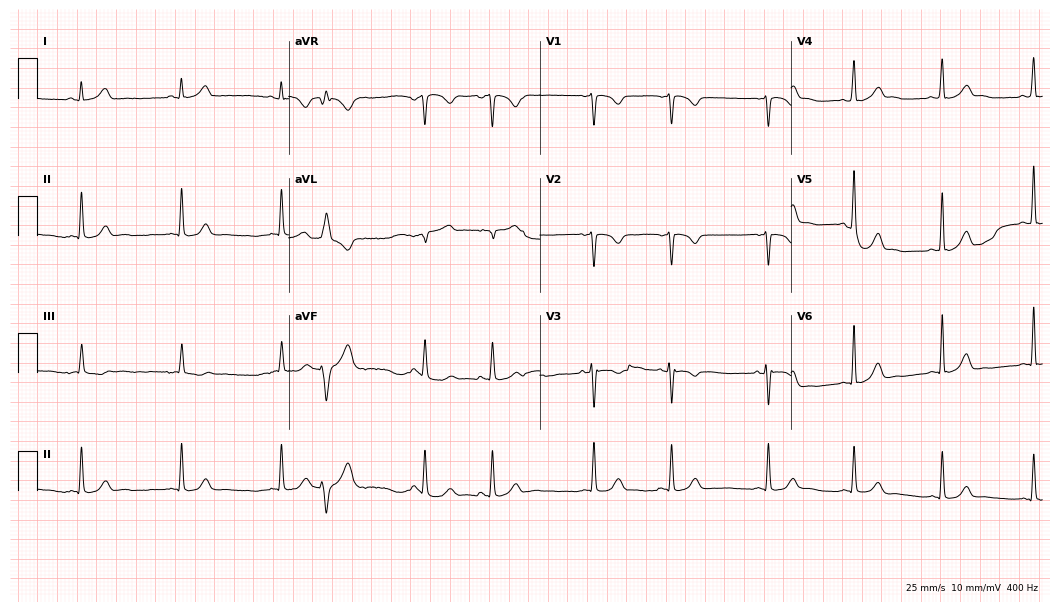
ECG (10.2-second recording at 400 Hz) — a 28-year-old female. Screened for six findings — first-degree AV block, right bundle branch block, left bundle branch block, sinus bradycardia, atrial fibrillation, sinus tachycardia — none is recorded. Findings outside these six are not listed.